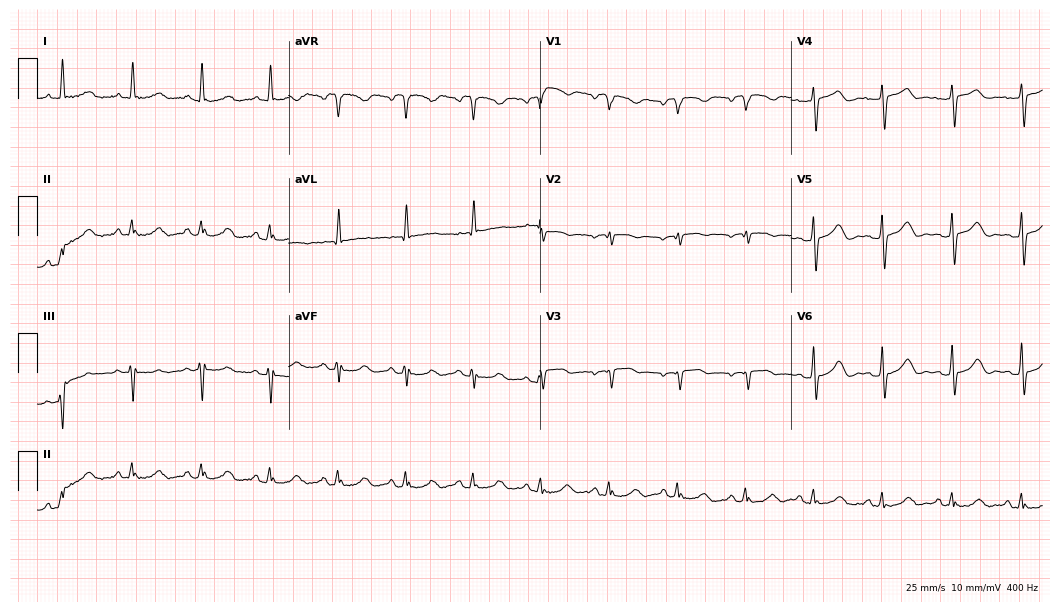
Standard 12-lead ECG recorded from a woman, 71 years old. Read as a normal ECG.